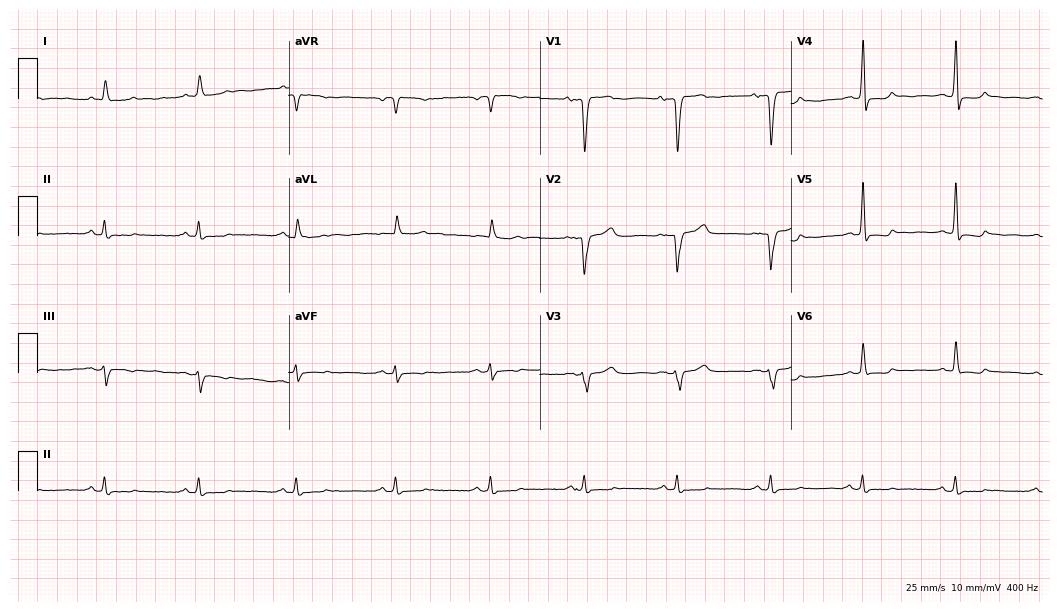
ECG — a female, 78 years old. Screened for six findings — first-degree AV block, right bundle branch block, left bundle branch block, sinus bradycardia, atrial fibrillation, sinus tachycardia — none is recorded. Findings outside these six are not listed.